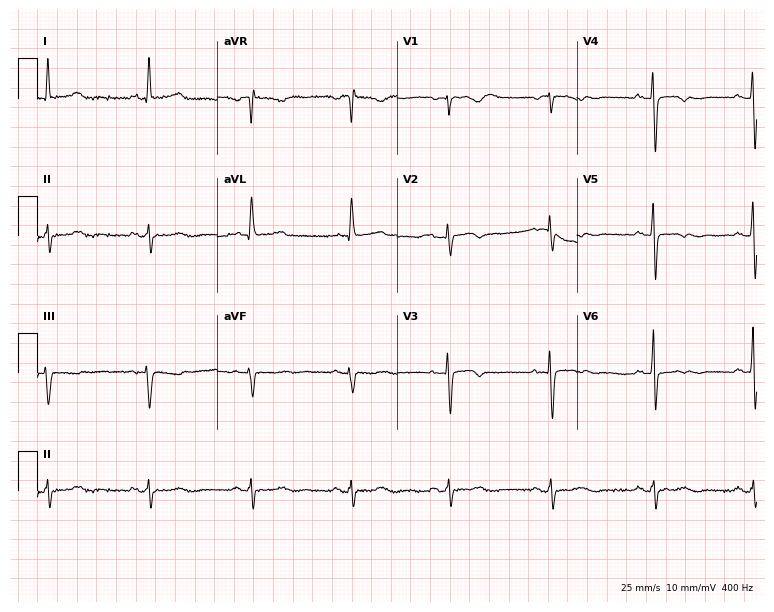
12-lead ECG from a 76-year-old woman. Screened for six findings — first-degree AV block, right bundle branch block, left bundle branch block, sinus bradycardia, atrial fibrillation, sinus tachycardia — none is recorded. Findings outside these six are not listed.